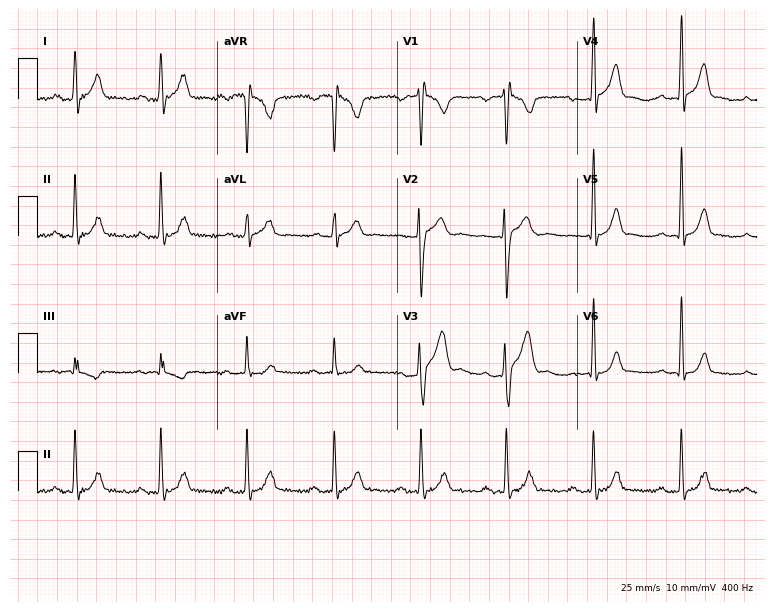
ECG — a male patient, 28 years old. Labelled as a normal ECG.